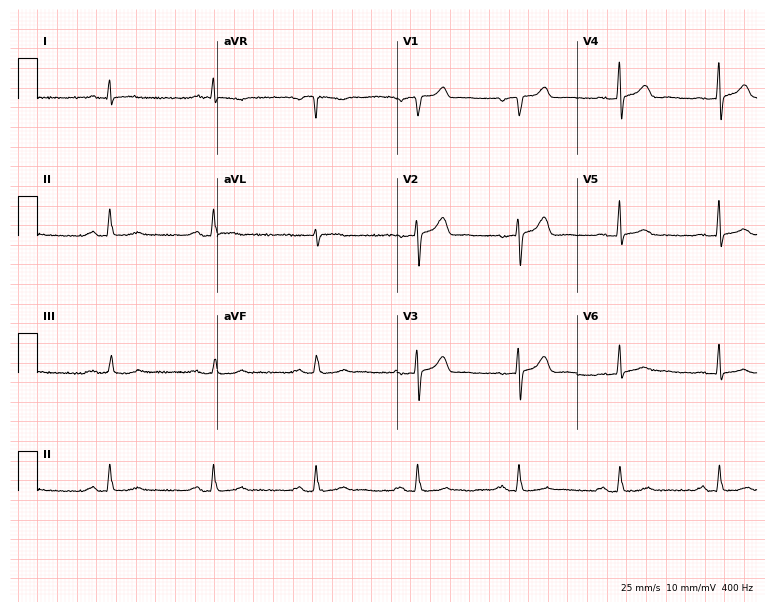
Standard 12-lead ECG recorded from a 70-year-old male (7.3-second recording at 400 Hz). None of these six findings is recorded: first-degree AV block, right bundle branch block, left bundle branch block, sinus bradycardia, atrial fibrillation, sinus tachycardia. Findings outside these six are not listed.